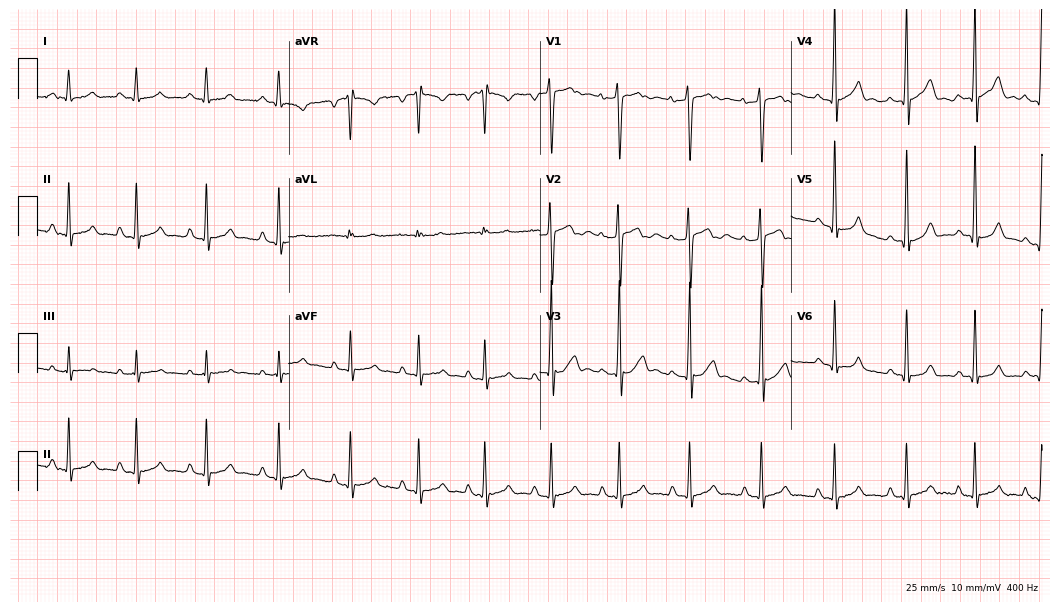
ECG — a 17-year-old man. Labelled as a normal ECG.